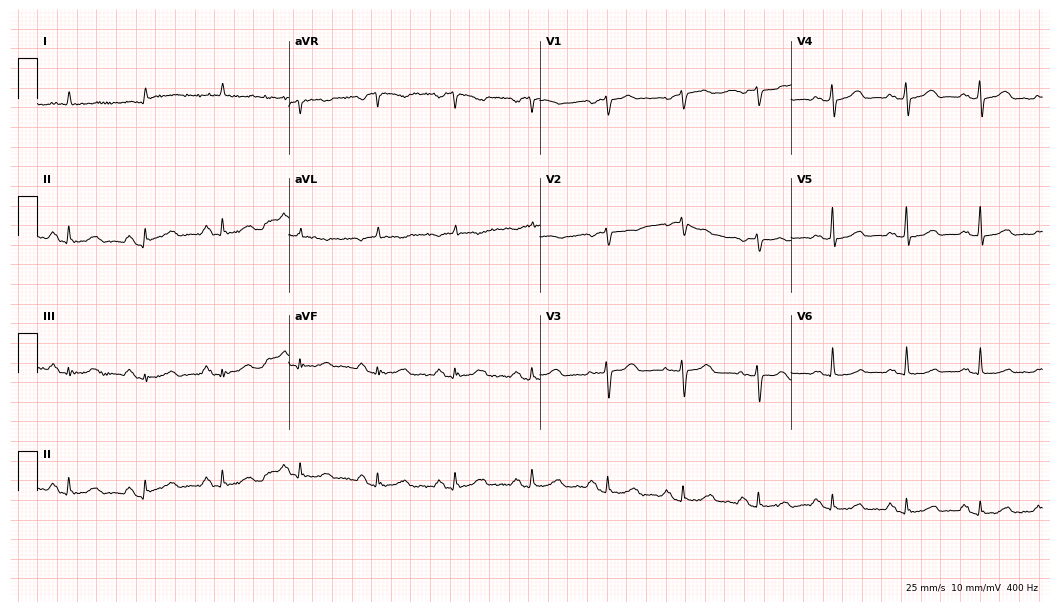
12-lead ECG from a female patient, 53 years old. Labelled as a normal ECG.